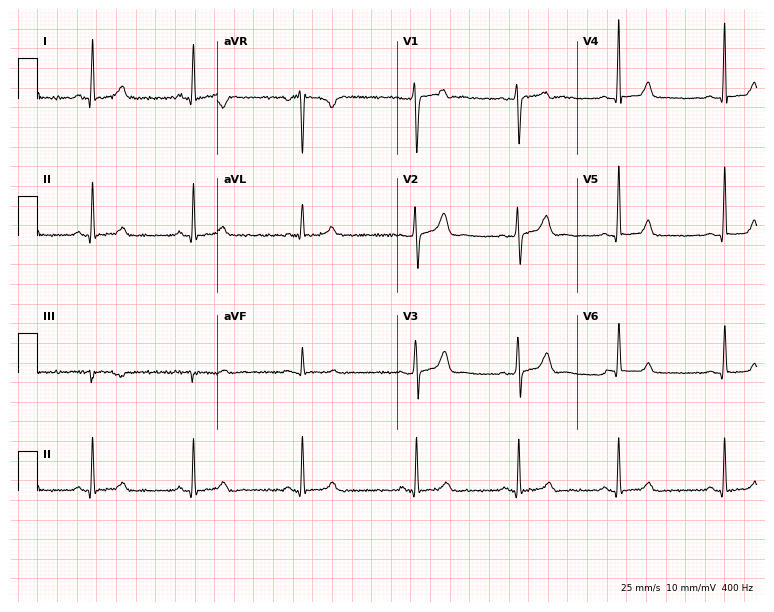
Standard 12-lead ECG recorded from a female patient, 33 years old (7.3-second recording at 400 Hz). Read as a normal ECG.